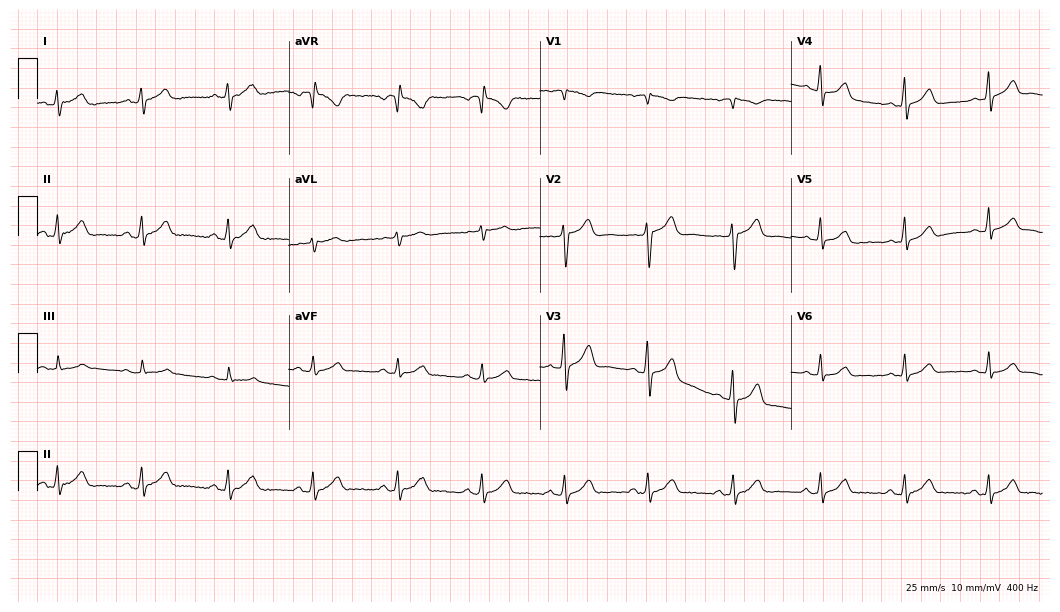
12-lead ECG from a 38-year-old male patient. Labelled as a normal ECG.